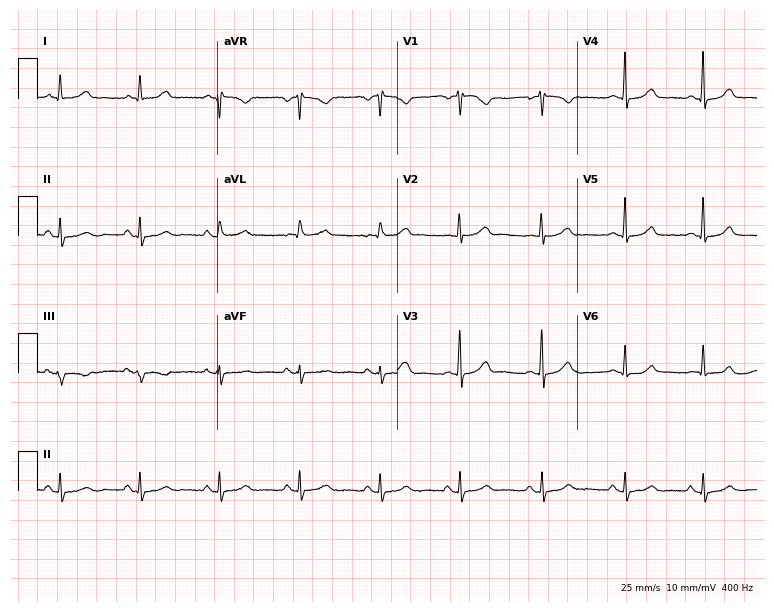
Standard 12-lead ECG recorded from a female patient, 48 years old (7.3-second recording at 400 Hz). None of these six findings is recorded: first-degree AV block, right bundle branch block, left bundle branch block, sinus bradycardia, atrial fibrillation, sinus tachycardia. Only these six findings were labelled.